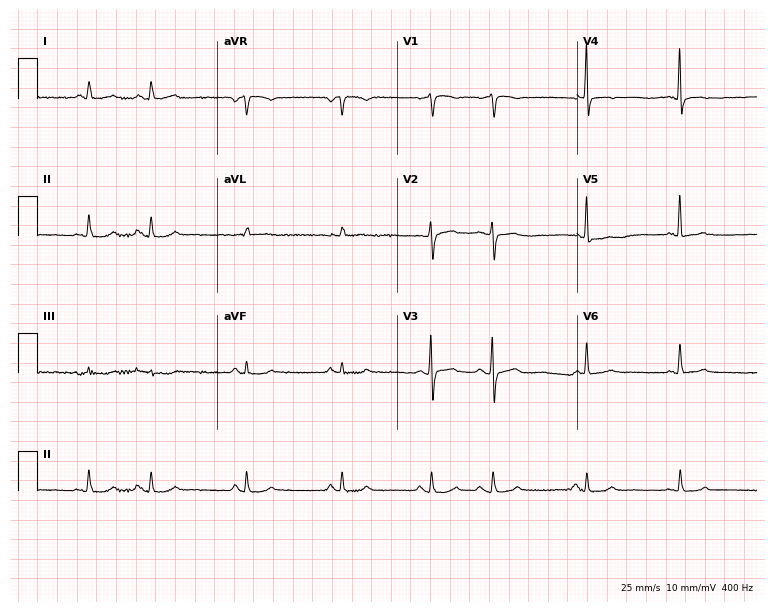
ECG (7.3-second recording at 400 Hz) — an 85-year-old female. Screened for six findings — first-degree AV block, right bundle branch block, left bundle branch block, sinus bradycardia, atrial fibrillation, sinus tachycardia — none is recorded.